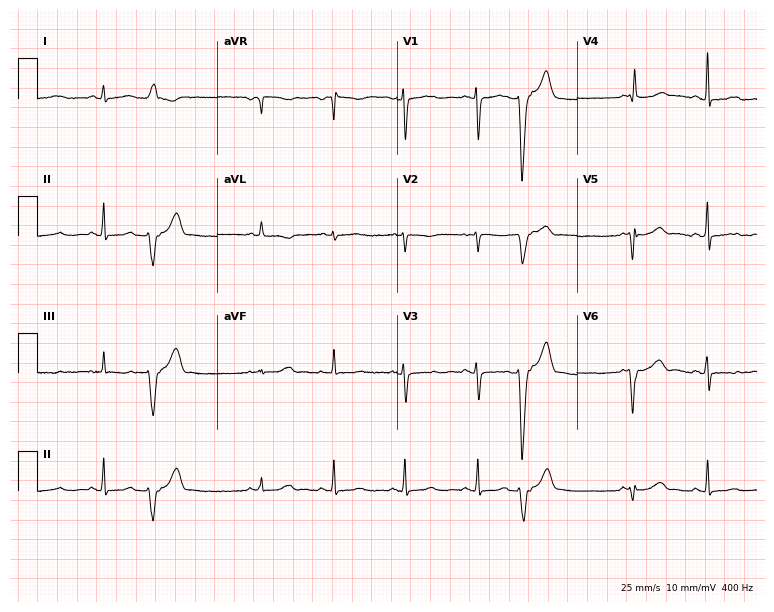
12-lead ECG (7.3-second recording at 400 Hz) from a female patient, 37 years old. Screened for six findings — first-degree AV block, right bundle branch block, left bundle branch block, sinus bradycardia, atrial fibrillation, sinus tachycardia — none is recorded.